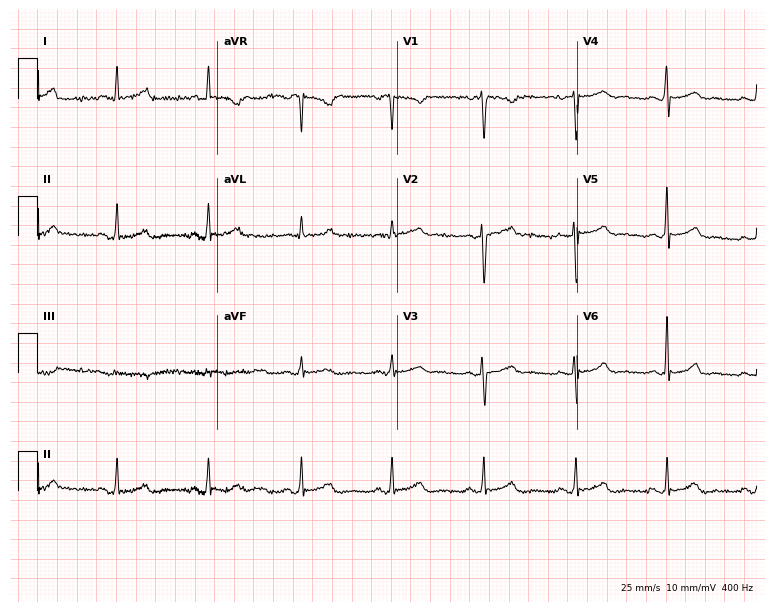
12-lead ECG from a 39-year-old woman. No first-degree AV block, right bundle branch block (RBBB), left bundle branch block (LBBB), sinus bradycardia, atrial fibrillation (AF) or sinus tachycardia recorded for this tracing.